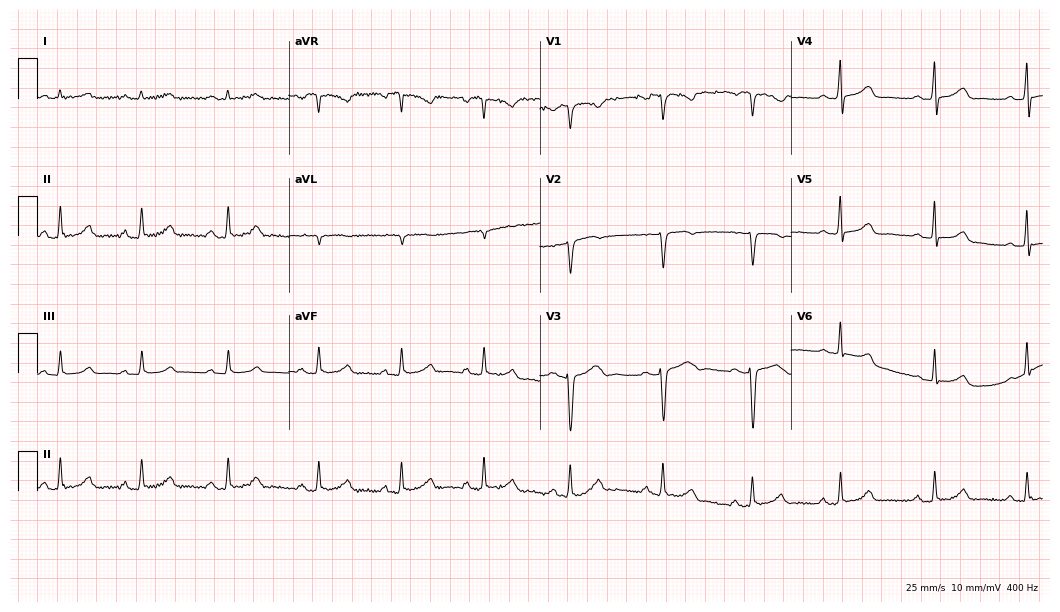
12-lead ECG from a 32-year-old female patient. Recorded interpretation: within normal limits.